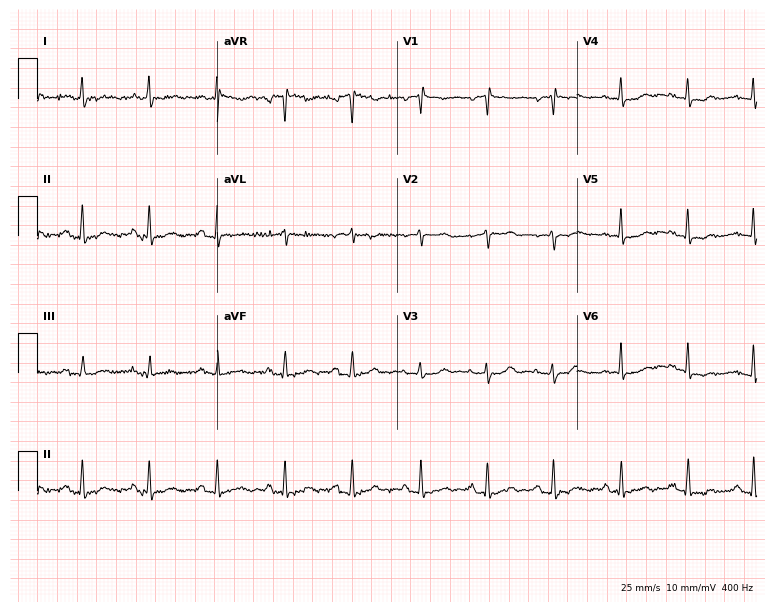
ECG (7.3-second recording at 400 Hz) — a female patient, 62 years old. Screened for six findings — first-degree AV block, right bundle branch block, left bundle branch block, sinus bradycardia, atrial fibrillation, sinus tachycardia — none is recorded.